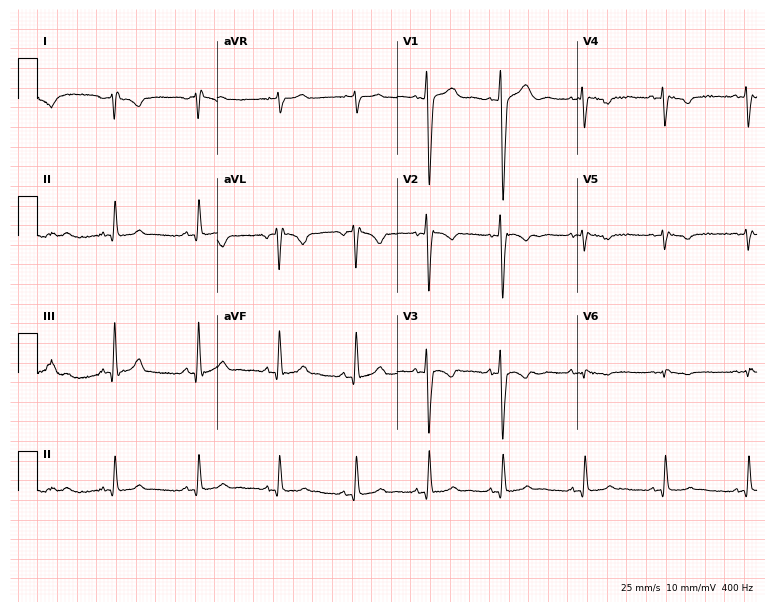
ECG — a 19-year-old man. Screened for six findings — first-degree AV block, right bundle branch block, left bundle branch block, sinus bradycardia, atrial fibrillation, sinus tachycardia — none is recorded.